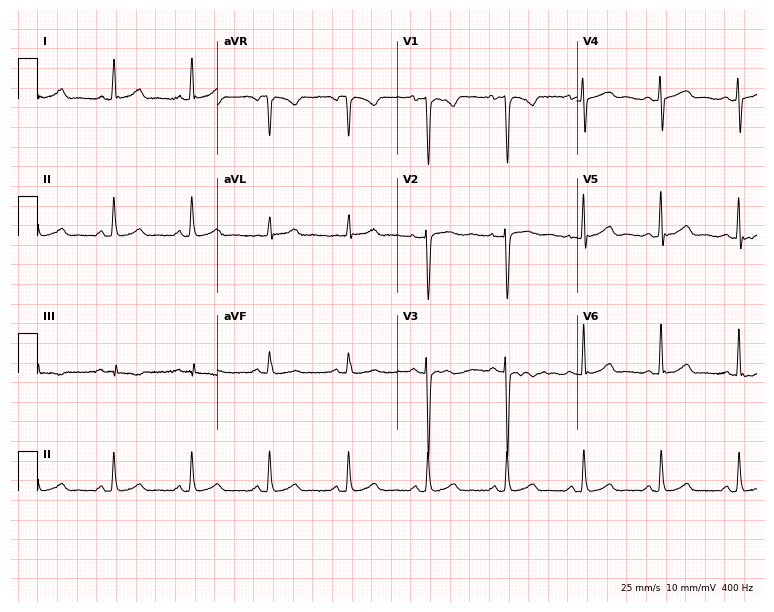
12-lead ECG from a 33-year-old woman (7.3-second recording at 400 Hz). Recorded interpretation: within normal limits.